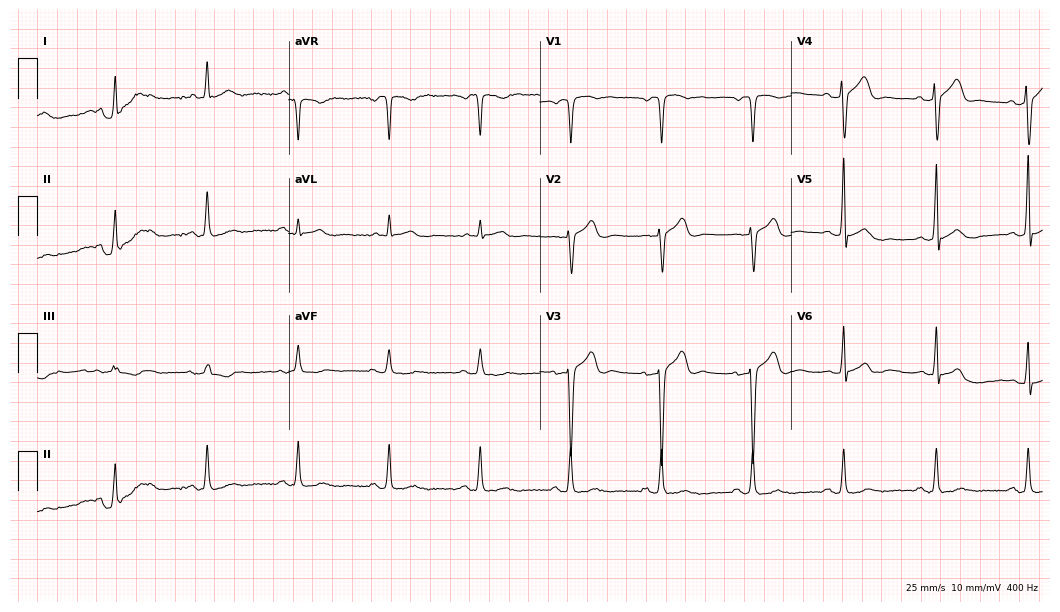
Electrocardiogram (10.2-second recording at 400 Hz), a male patient, 62 years old. Overall reading on record: normal ECG.